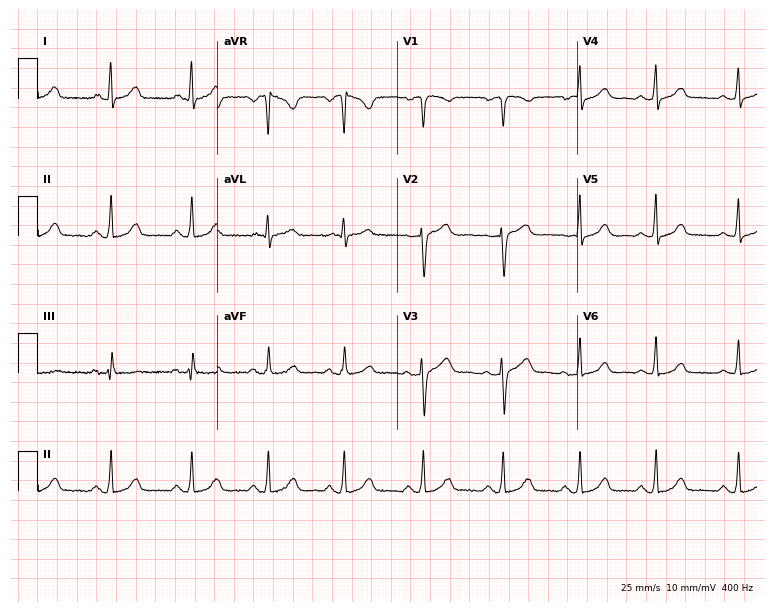
Resting 12-lead electrocardiogram (7.3-second recording at 400 Hz). Patient: a female, 44 years old. Read as a normal ECG.